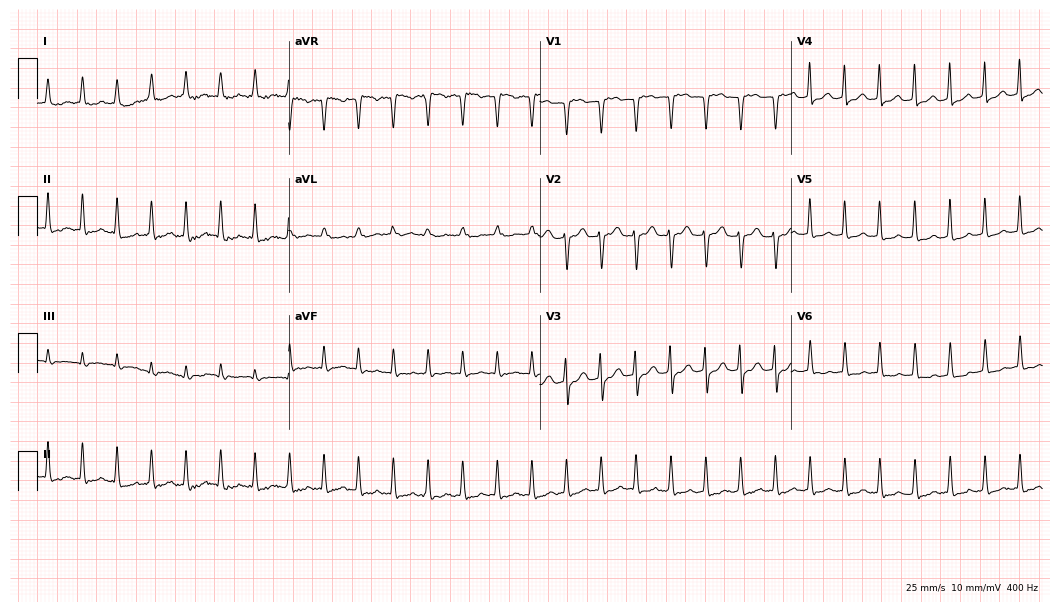
Standard 12-lead ECG recorded from a female patient, 55 years old (10.2-second recording at 400 Hz). None of these six findings is recorded: first-degree AV block, right bundle branch block (RBBB), left bundle branch block (LBBB), sinus bradycardia, atrial fibrillation (AF), sinus tachycardia.